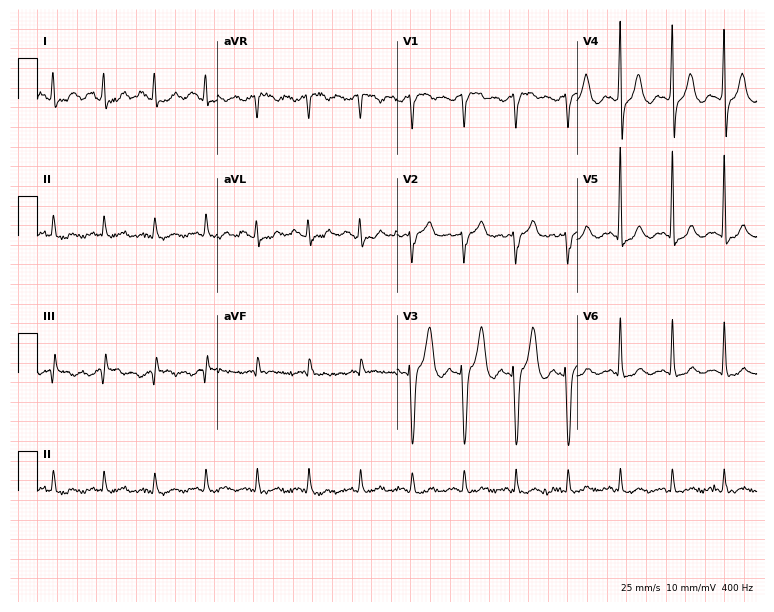
ECG (7.3-second recording at 400 Hz) — a 66-year-old man. Findings include sinus tachycardia (a sinus rate of 100 beats per minute or more).